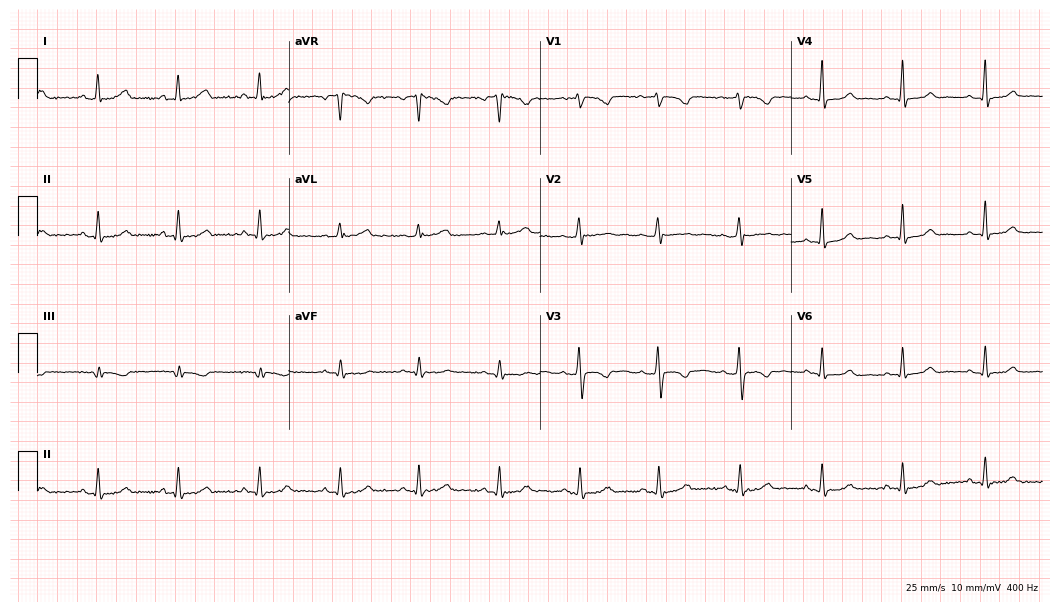
Electrocardiogram (10.2-second recording at 400 Hz), a 29-year-old female patient. Overall reading on record: normal ECG.